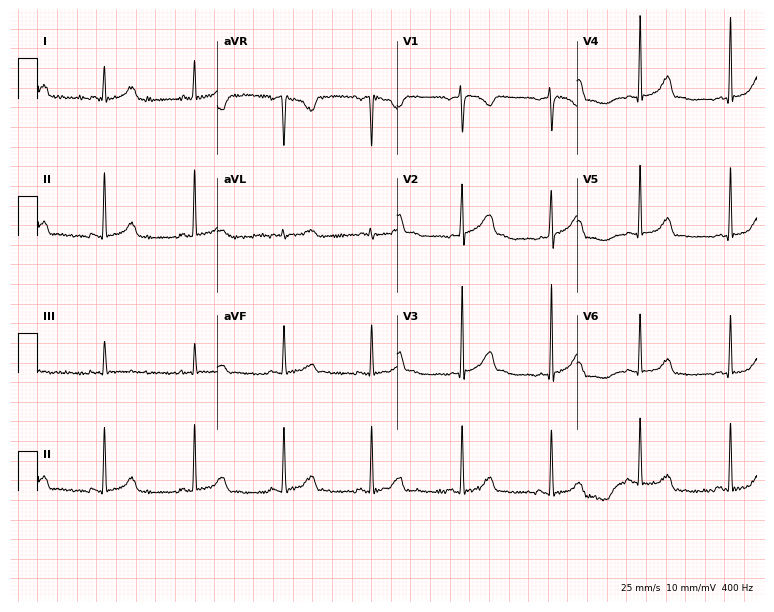
ECG (7.3-second recording at 400 Hz) — a woman, 24 years old. Labelled as a normal ECG.